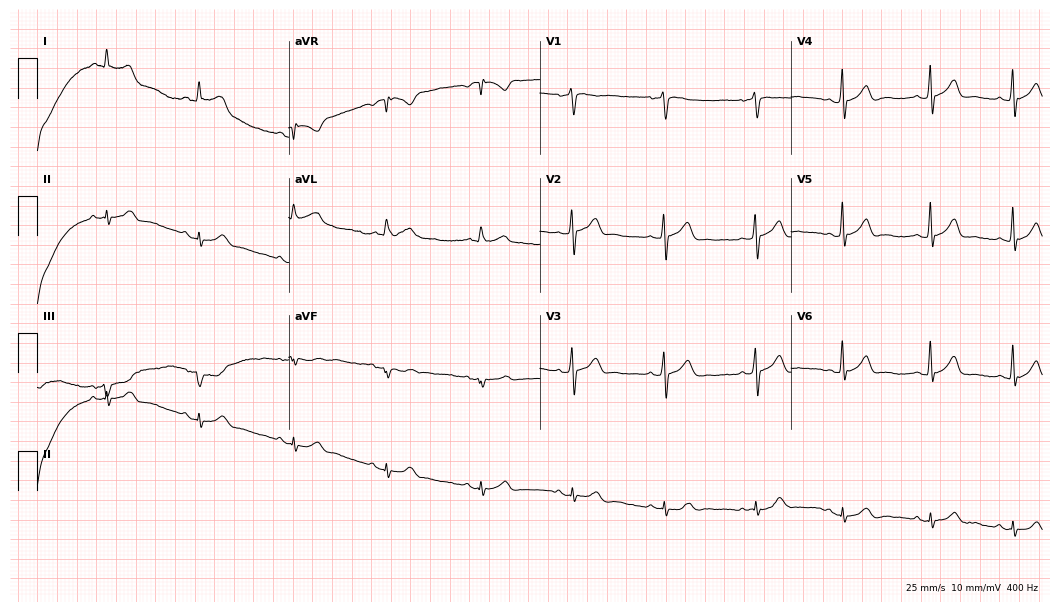
12-lead ECG from a 43-year-old man. Labelled as a normal ECG.